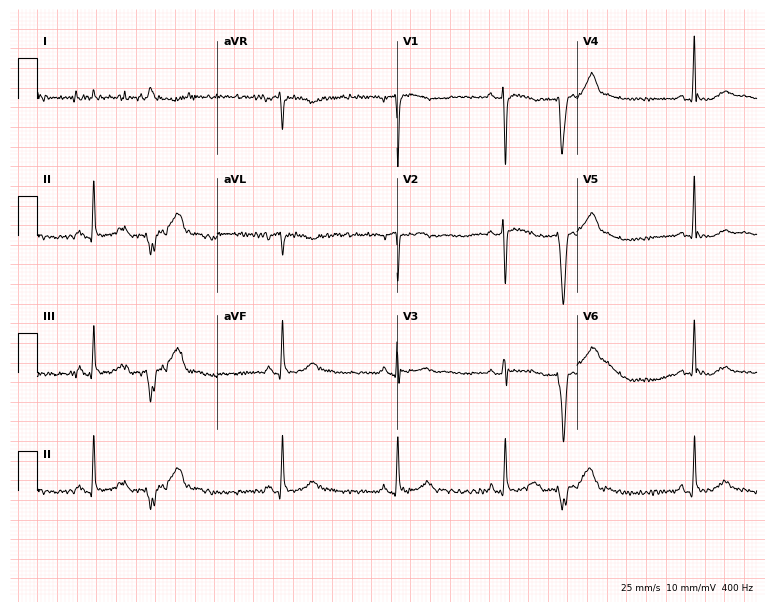
12-lead ECG from a woman, 67 years old (7.3-second recording at 400 Hz). No first-degree AV block, right bundle branch block, left bundle branch block, sinus bradycardia, atrial fibrillation or sinus tachycardia recorded for this tracing.